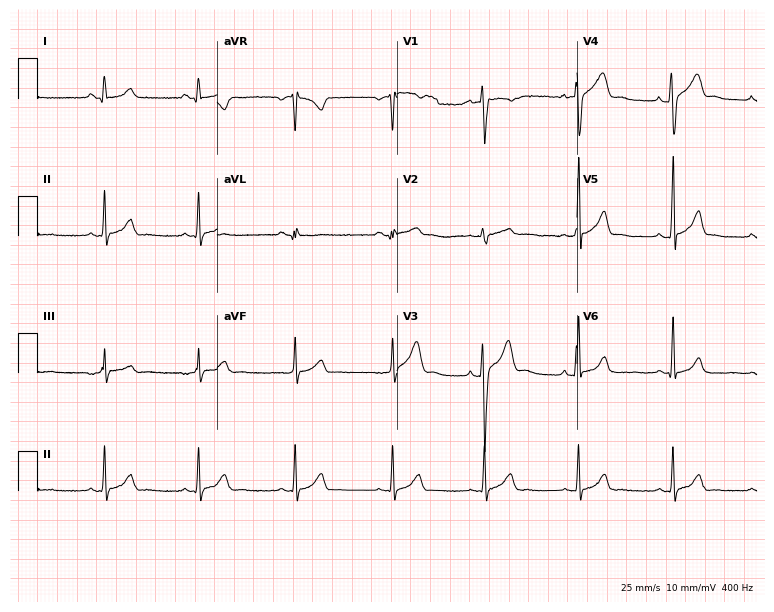
ECG (7.3-second recording at 400 Hz) — a male patient, 21 years old. Labelled as a normal ECG.